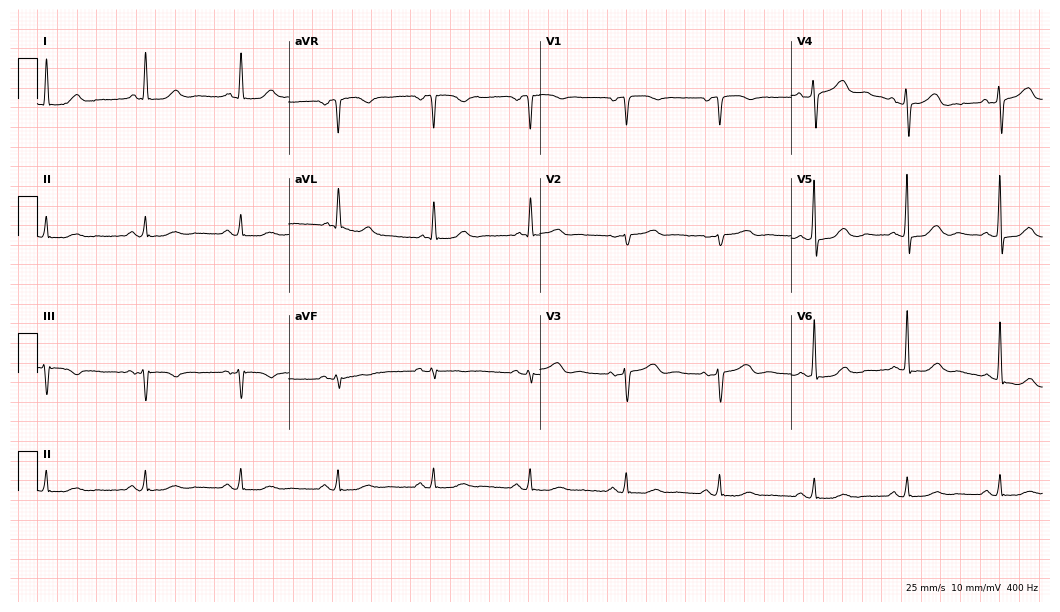
Resting 12-lead electrocardiogram. Patient: a 77-year-old woman. Read as a normal ECG.